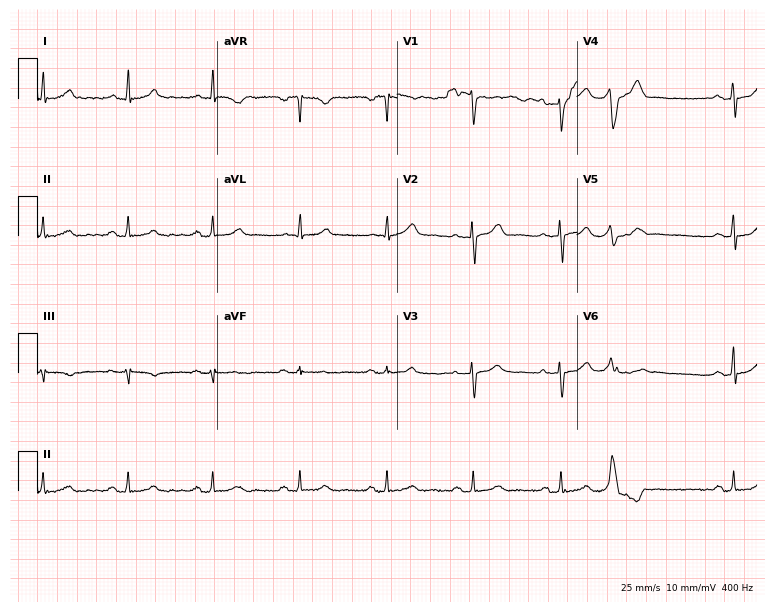
Electrocardiogram (7.3-second recording at 400 Hz), a female patient, 38 years old. Of the six screened findings (first-degree AV block, right bundle branch block (RBBB), left bundle branch block (LBBB), sinus bradycardia, atrial fibrillation (AF), sinus tachycardia), none is recorded. Only these six findings were labelled.